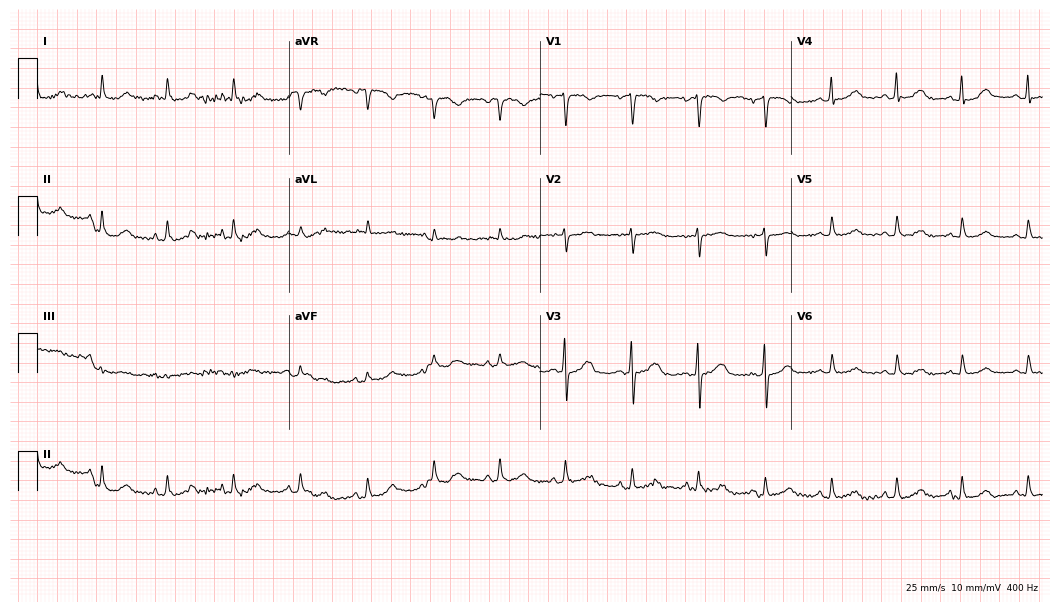
Standard 12-lead ECG recorded from a 57-year-old female. None of these six findings is recorded: first-degree AV block, right bundle branch block, left bundle branch block, sinus bradycardia, atrial fibrillation, sinus tachycardia.